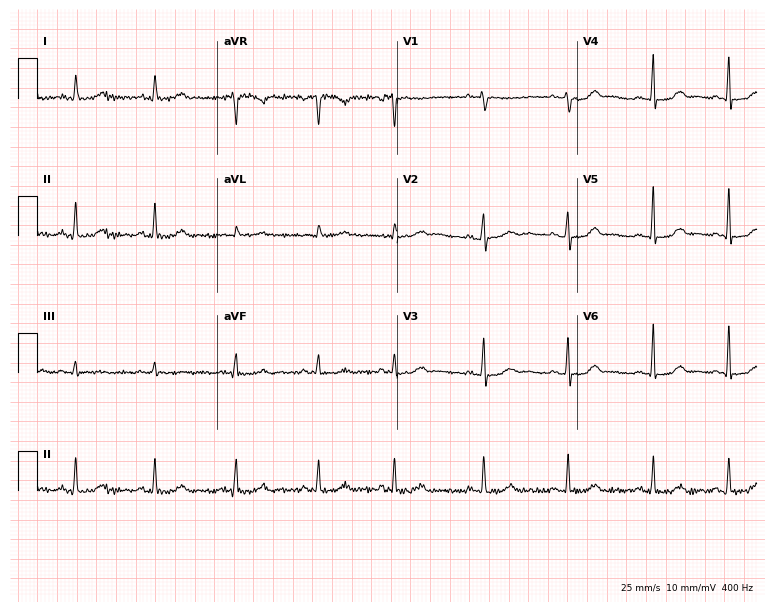
Electrocardiogram, a 68-year-old female patient. Overall reading on record: normal ECG.